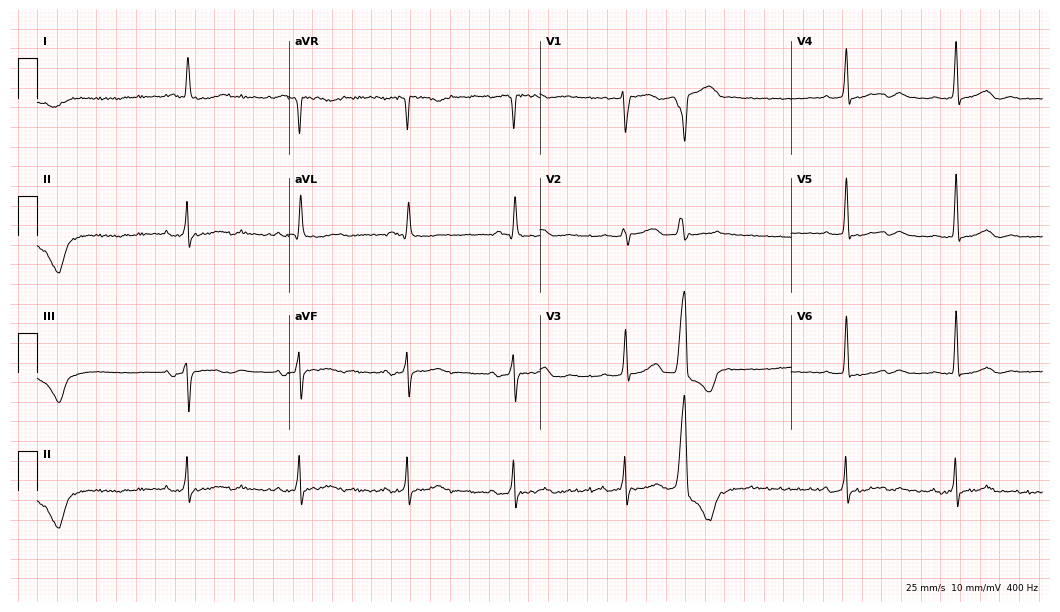
Resting 12-lead electrocardiogram (10.2-second recording at 400 Hz). Patient: a female, 69 years old. None of these six findings is recorded: first-degree AV block, right bundle branch block, left bundle branch block, sinus bradycardia, atrial fibrillation, sinus tachycardia.